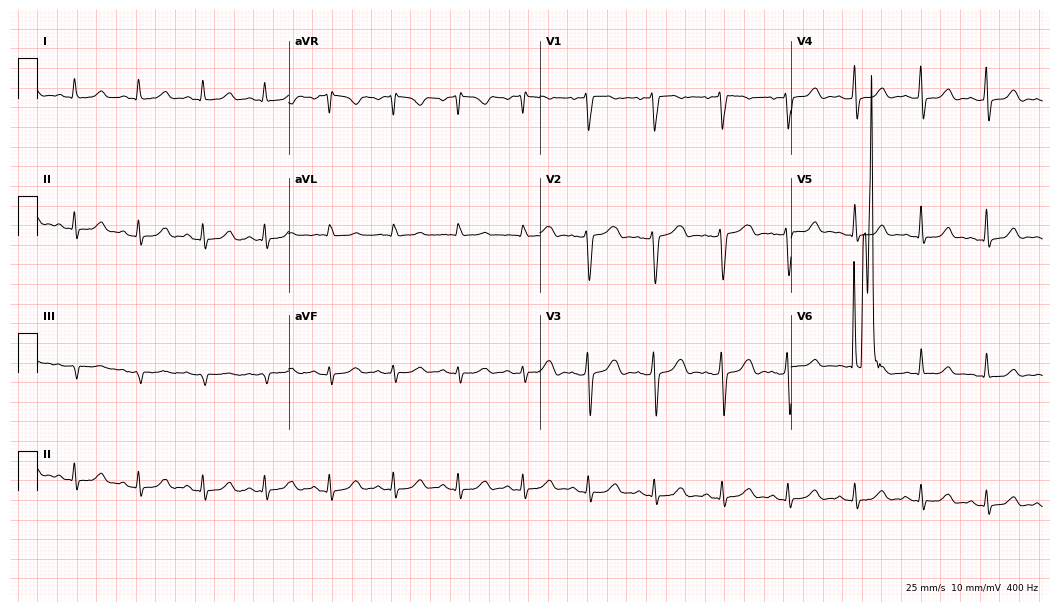
12-lead ECG from a female patient, 40 years old. Recorded interpretation: within normal limits.